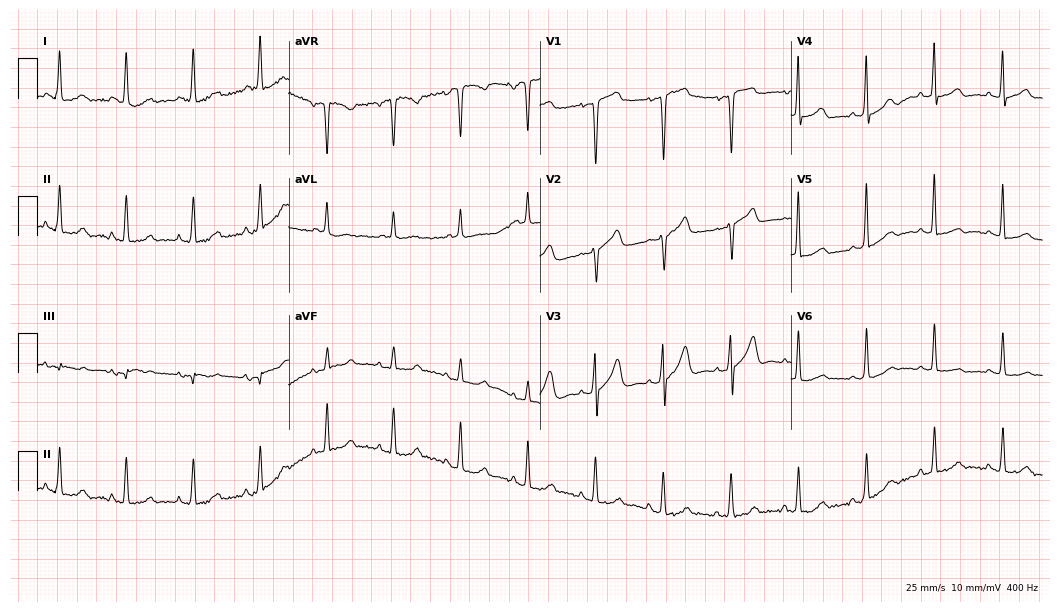
Resting 12-lead electrocardiogram (10.2-second recording at 400 Hz). Patient: a 79-year-old female. Read as a normal ECG.